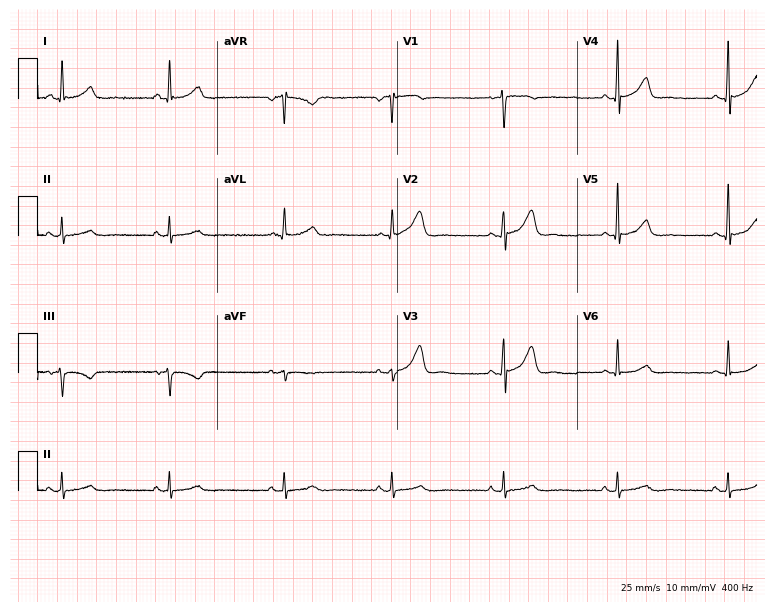
12-lead ECG from a female, 51 years old. No first-degree AV block, right bundle branch block, left bundle branch block, sinus bradycardia, atrial fibrillation or sinus tachycardia recorded for this tracing. Only these six findings were labelled.